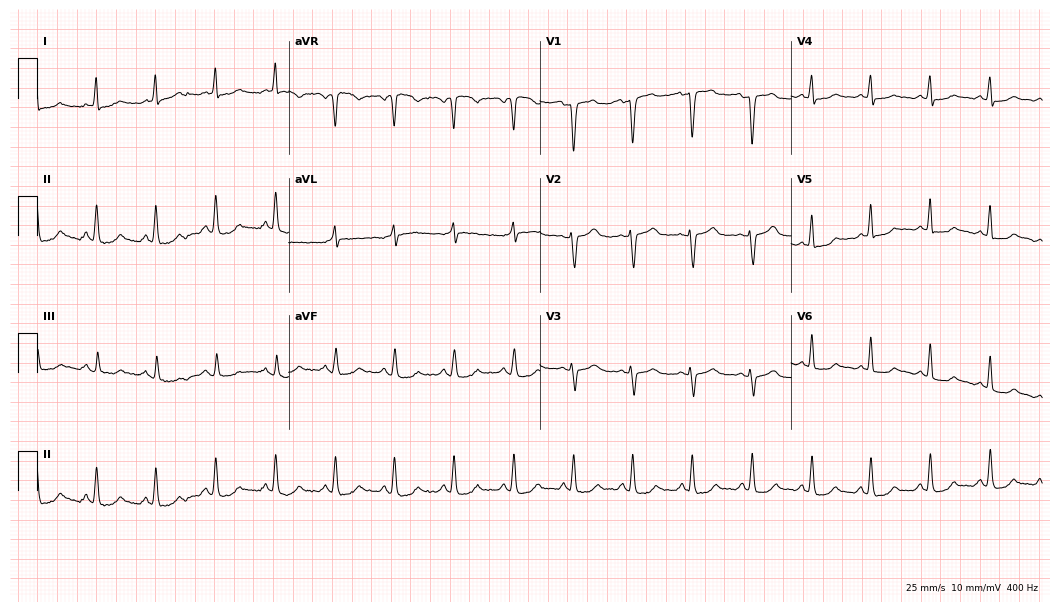
ECG — a woman, 44 years old. Screened for six findings — first-degree AV block, right bundle branch block (RBBB), left bundle branch block (LBBB), sinus bradycardia, atrial fibrillation (AF), sinus tachycardia — none is recorded.